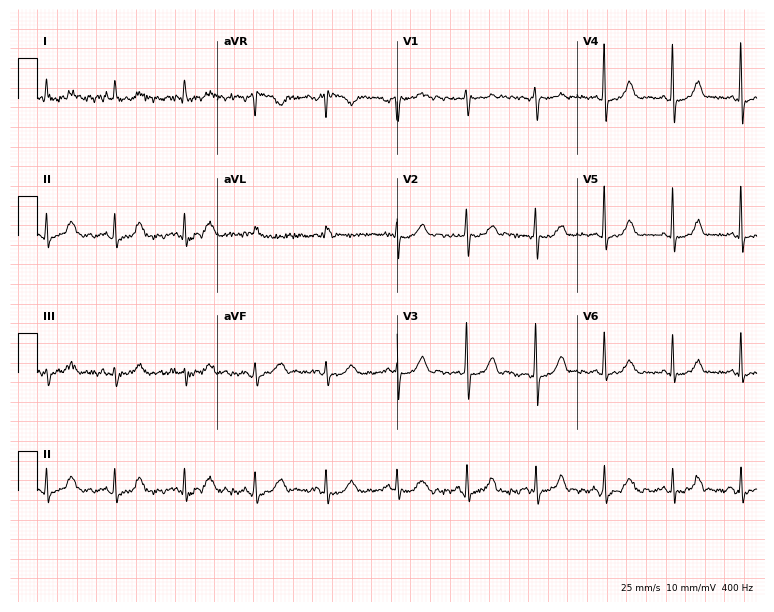
Resting 12-lead electrocardiogram. Patient: a woman, 81 years old. Read as a normal ECG.